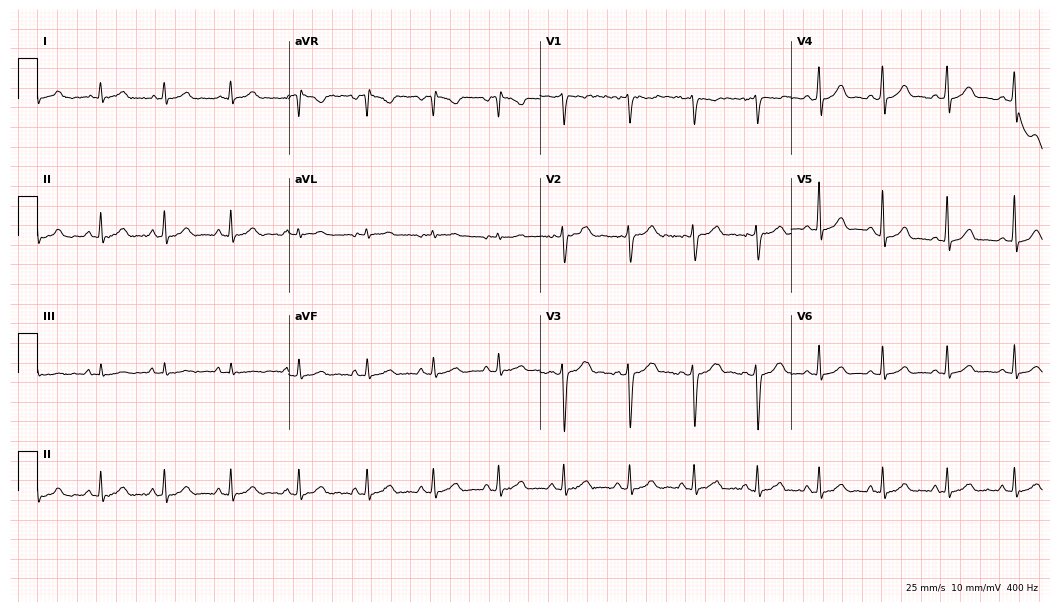
ECG — a female, 25 years old. Labelled as a normal ECG.